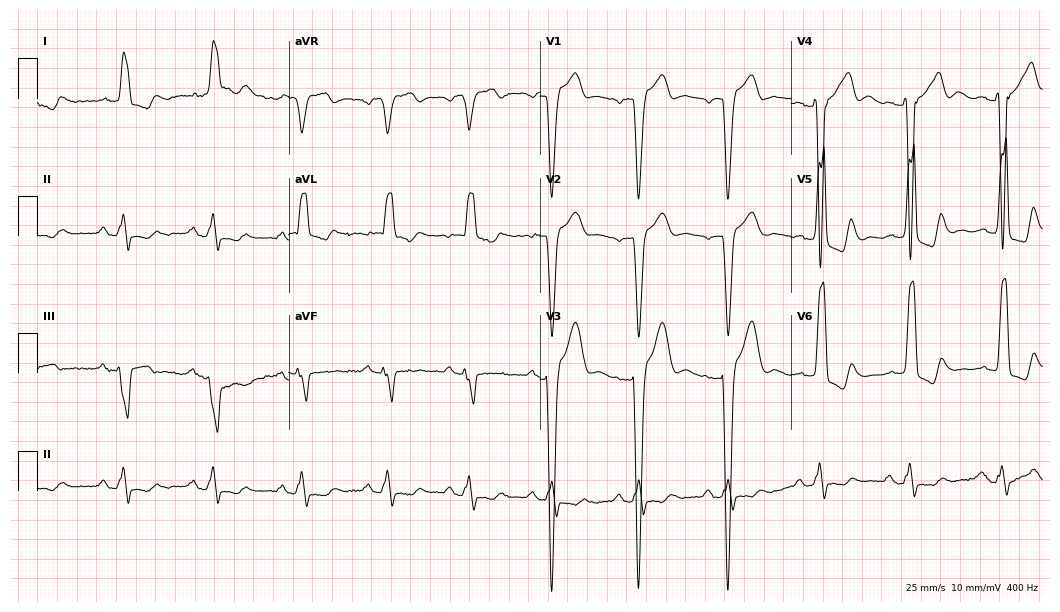
Resting 12-lead electrocardiogram. Patient: a male, 64 years old. The tracing shows left bundle branch block.